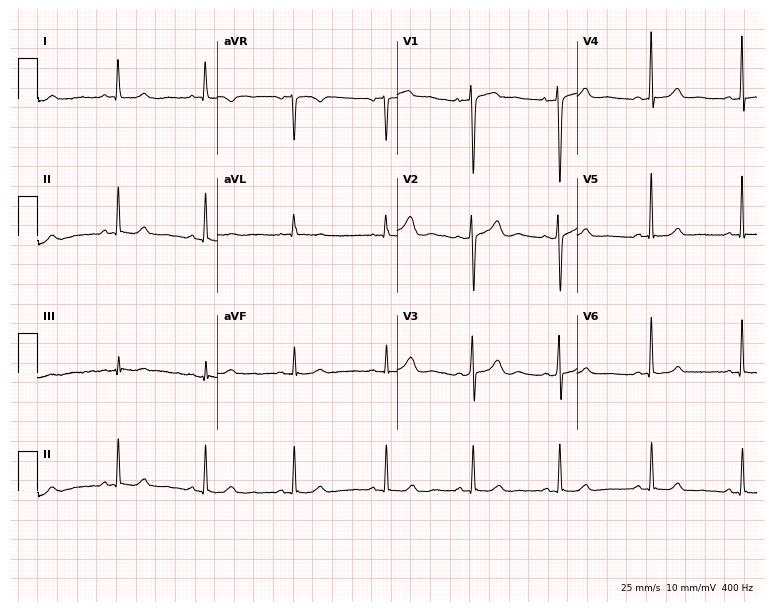
12-lead ECG from a woman, 29 years old. Labelled as a normal ECG.